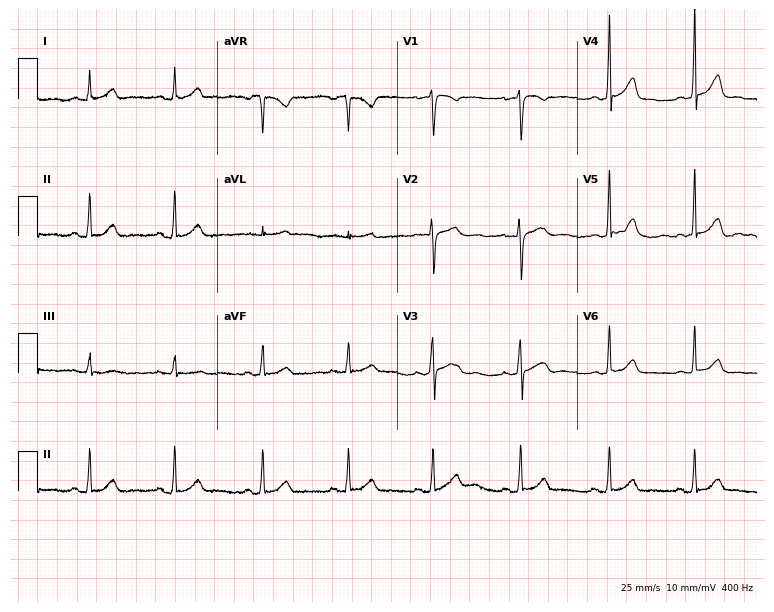
Resting 12-lead electrocardiogram. Patient: a woman, 31 years old. None of these six findings is recorded: first-degree AV block, right bundle branch block, left bundle branch block, sinus bradycardia, atrial fibrillation, sinus tachycardia.